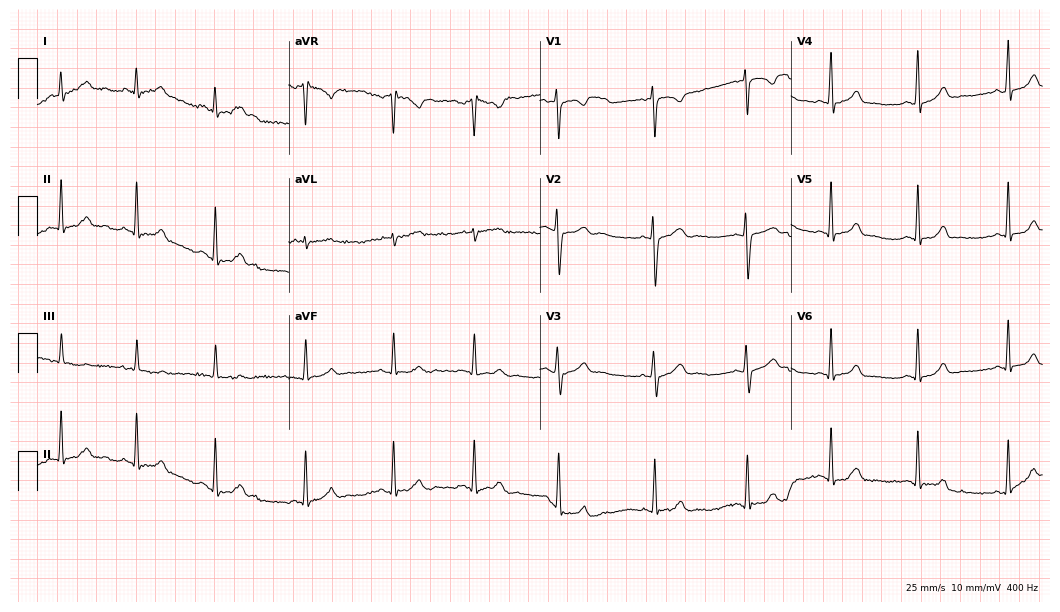
Resting 12-lead electrocardiogram (10.2-second recording at 400 Hz). Patient: a 24-year-old female. Read as a normal ECG.